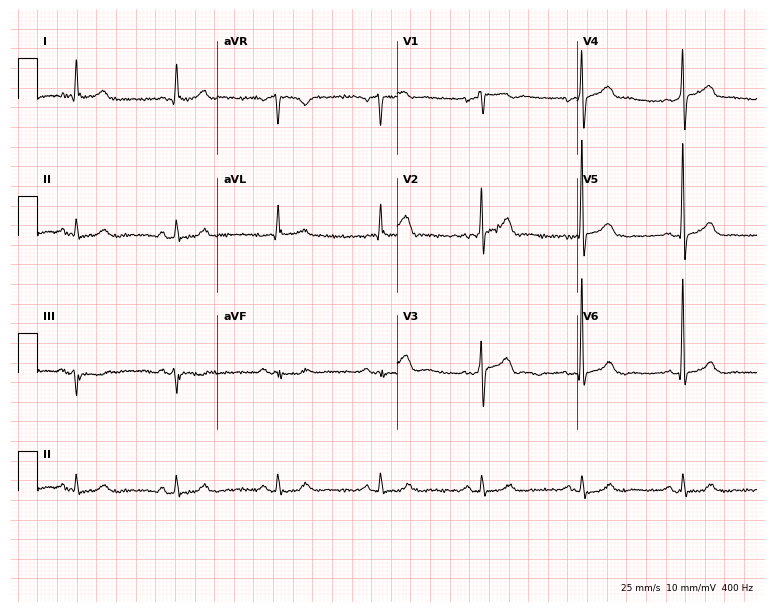
Standard 12-lead ECG recorded from a 62-year-old male. Read as a normal ECG.